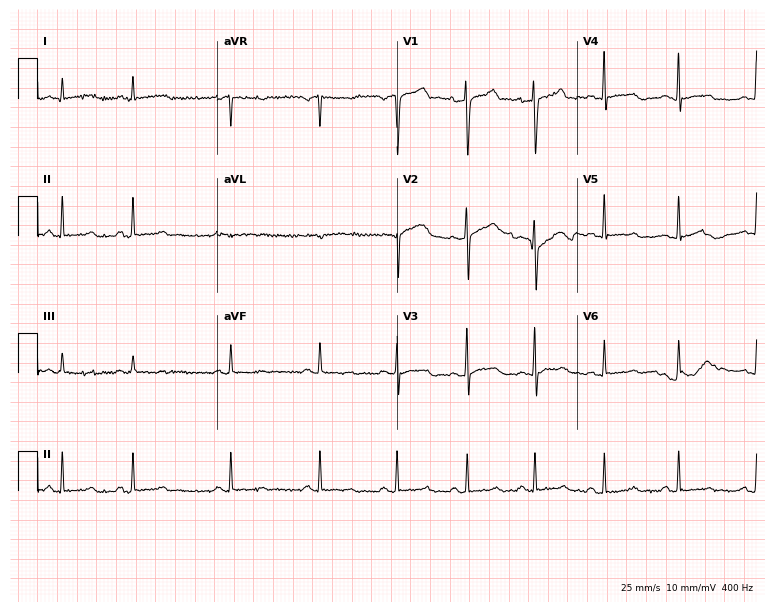
12-lead ECG (7.3-second recording at 400 Hz) from a male patient, 41 years old. Screened for six findings — first-degree AV block, right bundle branch block, left bundle branch block, sinus bradycardia, atrial fibrillation, sinus tachycardia — none is recorded.